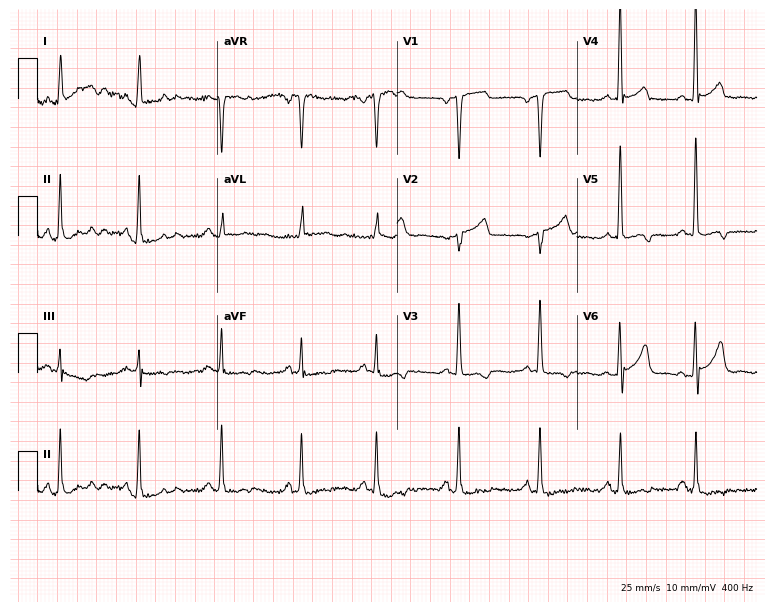
Resting 12-lead electrocardiogram (7.3-second recording at 400 Hz). Patient: a male, 70 years old. None of these six findings is recorded: first-degree AV block, right bundle branch block, left bundle branch block, sinus bradycardia, atrial fibrillation, sinus tachycardia. Other findings, if any, are not listed.